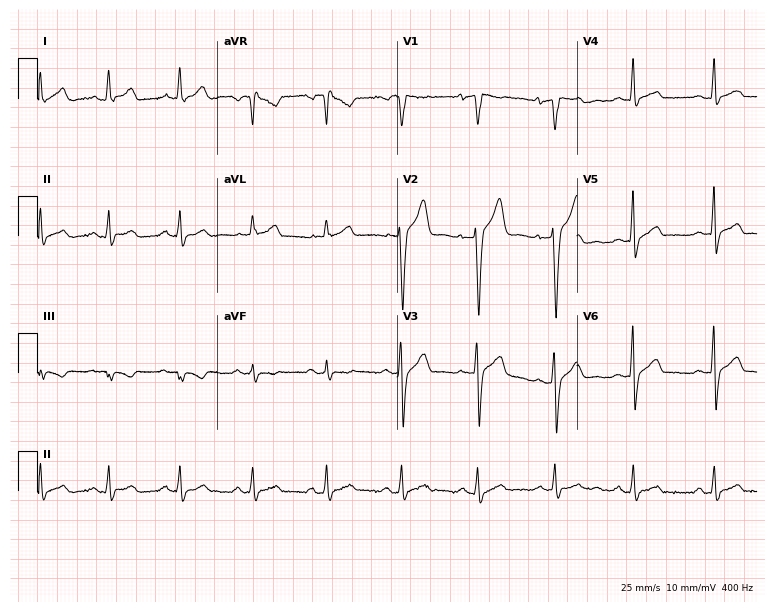
12-lead ECG from a male patient, 35 years old. Recorded interpretation: within normal limits.